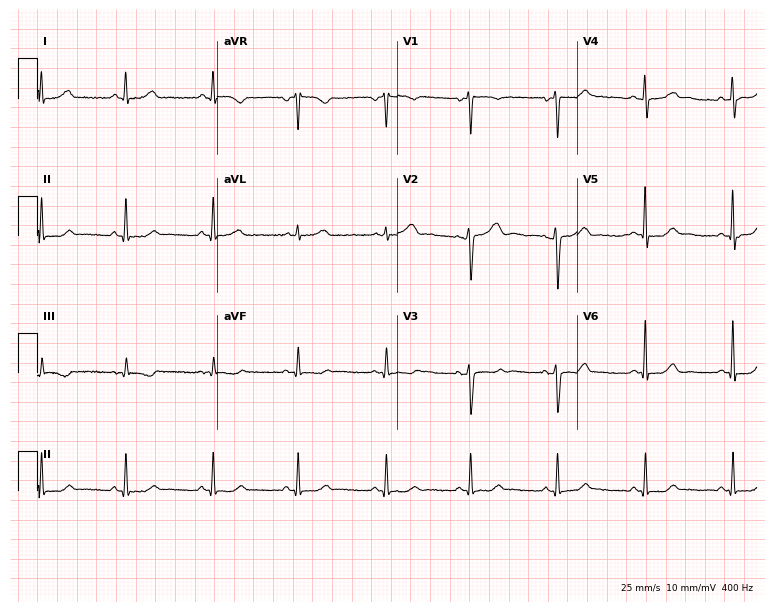
12-lead ECG from a female, 50 years old (7.3-second recording at 400 Hz). Recorded interpretation: within normal limits.